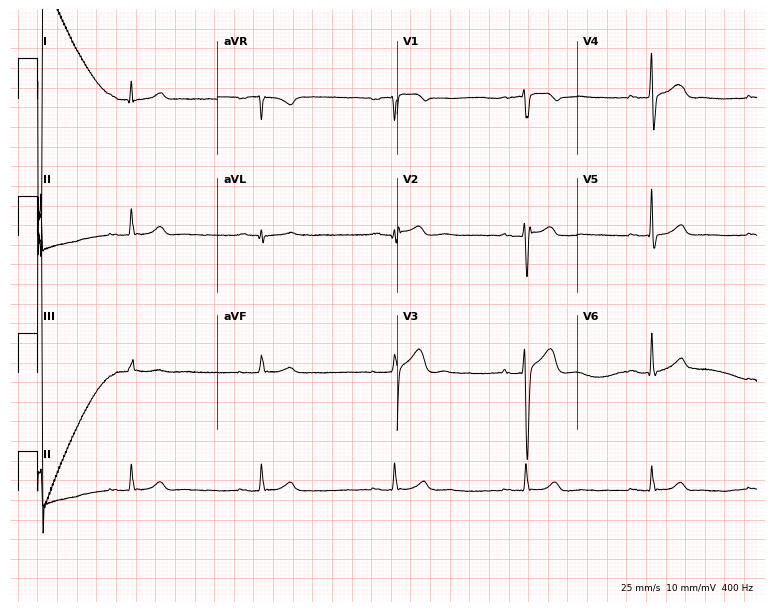
Resting 12-lead electrocardiogram (7.3-second recording at 400 Hz). Patient: a 31-year-old man. The tracing shows first-degree AV block, sinus bradycardia (a sinus rate of 50 beats per minute or less).